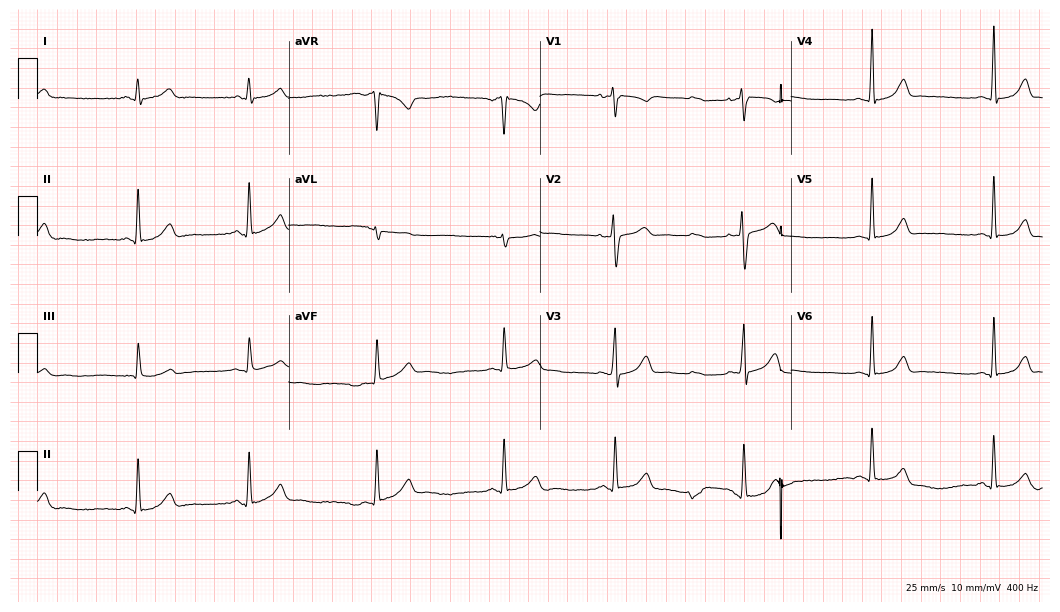
12-lead ECG (10.2-second recording at 400 Hz) from a female patient, 32 years old. Labelled as a normal ECG.